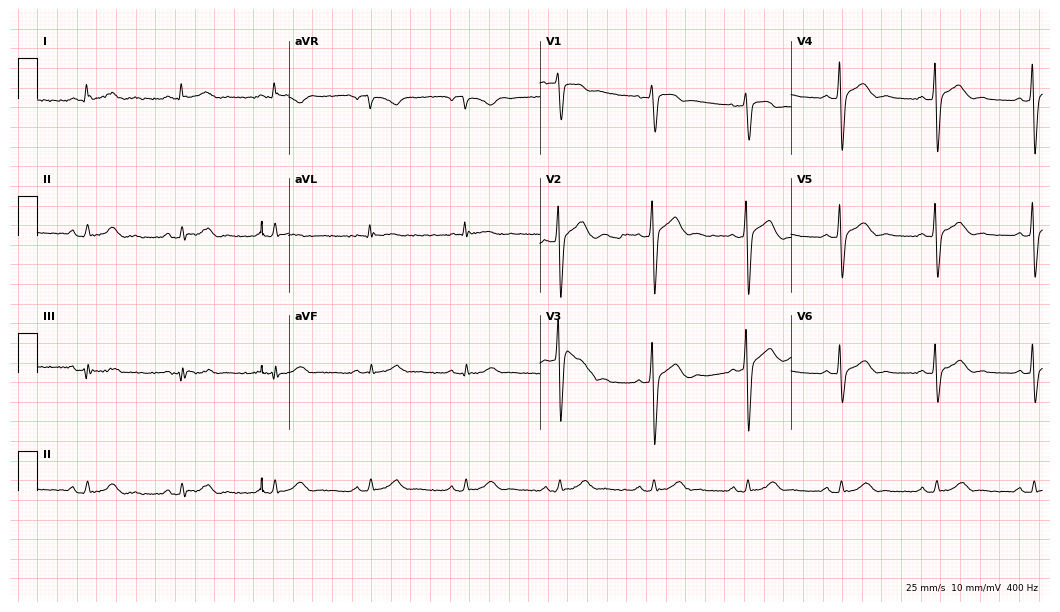
12-lead ECG from a male patient, 52 years old (10.2-second recording at 400 Hz). No first-degree AV block, right bundle branch block (RBBB), left bundle branch block (LBBB), sinus bradycardia, atrial fibrillation (AF) or sinus tachycardia recorded for this tracing.